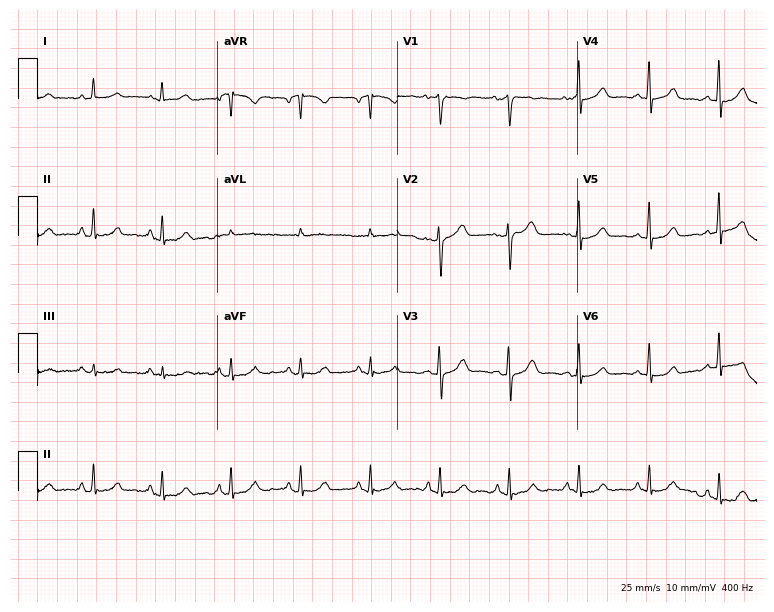
ECG (7.3-second recording at 400 Hz) — a 47-year-old female patient. Screened for six findings — first-degree AV block, right bundle branch block, left bundle branch block, sinus bradycardia, atrial fibrillation, sinus tachycardia — none is recorded.